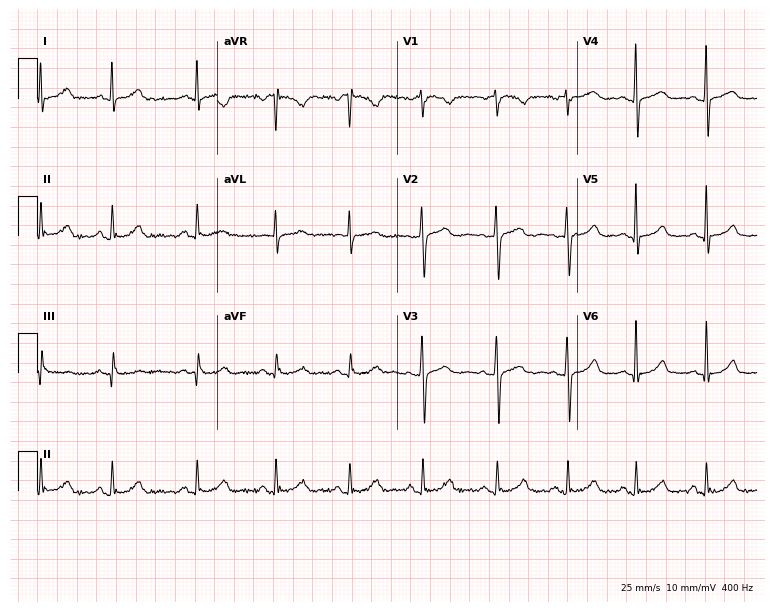
Electrocardiogram (7.3-second recording at 400 Hz), a 29-year-old woman. Overall reading on record: normal ECG.